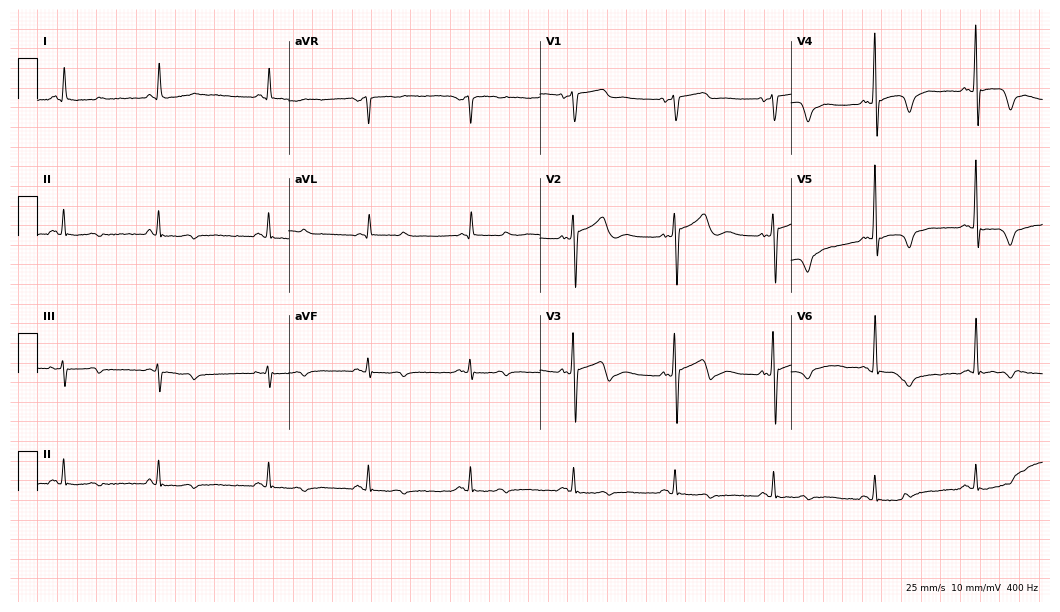
Standard 12-lead ECG recorded from a male, 74 years old (10.2-second recording at 400 Hz). None of these six findings is recorded: first-degree AV block, right bundle branch block (RBBB), left bundle branch block (LBBB), sinus bradycardia, atrial fibrillation (AF), sinus tachycardia. Other findings, if any, are not listed.